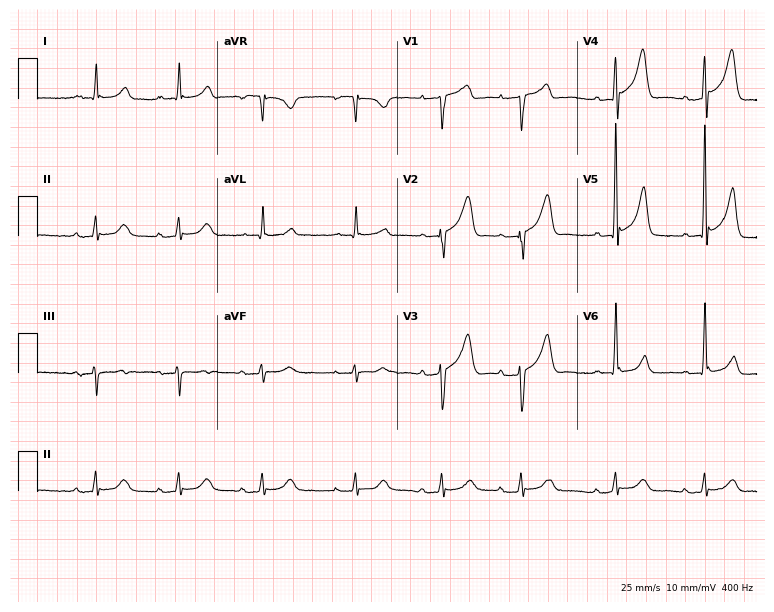
Electrocardiogram, a 78-year-old male. Of the six screened findings (first-degree AV block, right bundle branch block, left bundle branch block, sinus bradycardia, atrial fibrillation, sinus tachycardia), none is recorded.